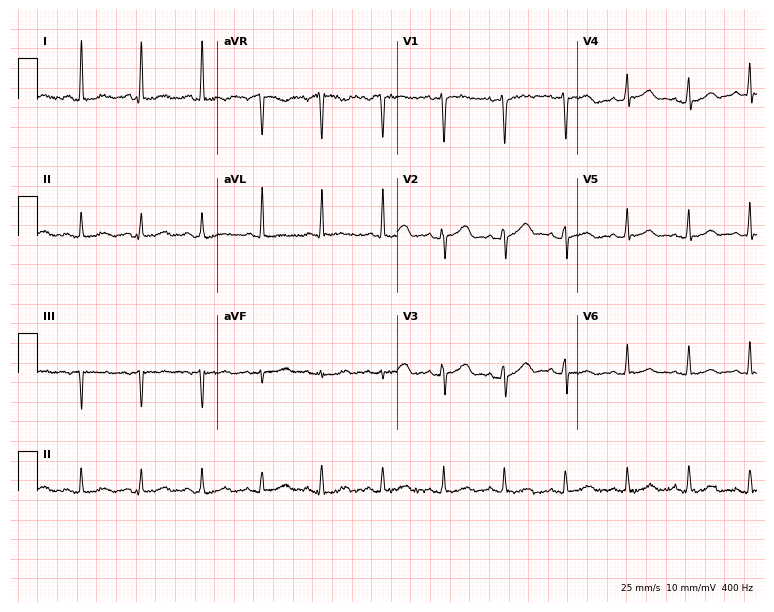
Electrocardiogram (7.3-second recording at 400 Hz), a woman, 39 years old. Of the six screened findings (first-degree AV block, right bundle branch block (RBBB), left bundle branch block (LBBB), sinus bradycardia, atrial fibrillation (AF), sinus tachycardia), none is recorded.